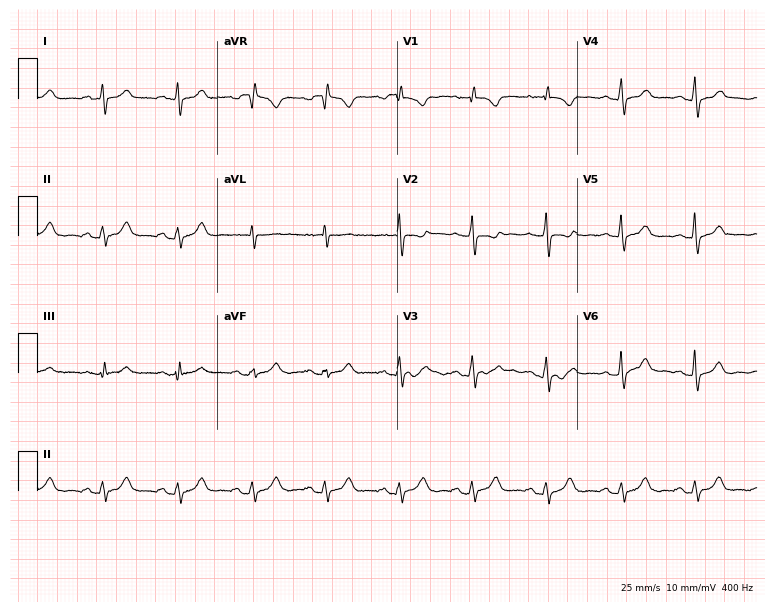
12-lead ECG from a female patient, 38 years old. Screened for six findings — first-degree AV block, right bundle branch block, left bundle branch block, sinus bradycardia, atrial fibrillation, sinus tachycardia — none is recorded. Findings outside these six are not listed.